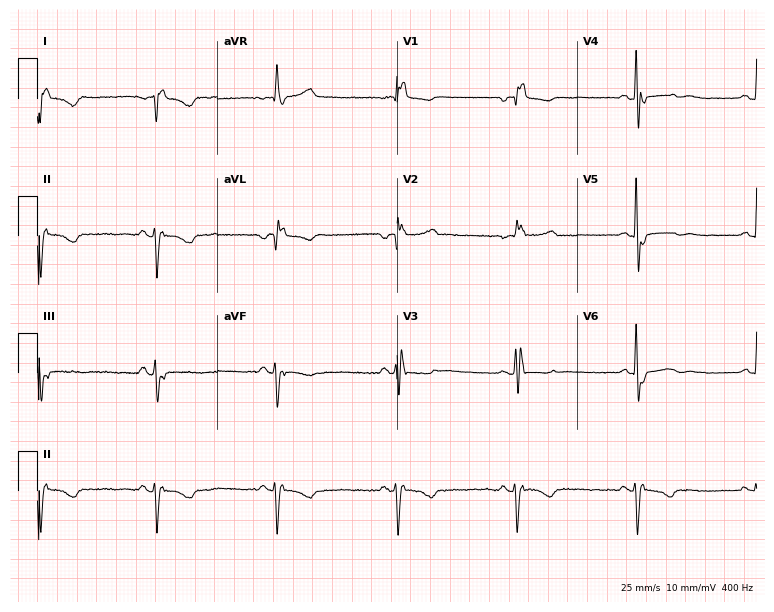
12-lead ECG from a female patient, 63 years old. Screened for six findings — first-degree AV block, right bundle branch block, left bundle branch block, sinus bradycardia, atrial fibrillation, sinus tachycardia — none is recorded.